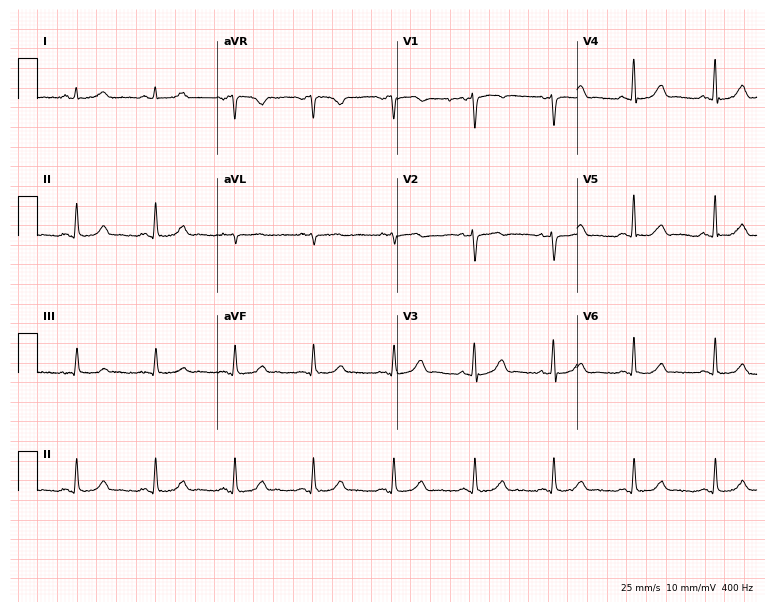
12-lead ECG from a 45-year-old female. Recorded interpretation: within normal limits.